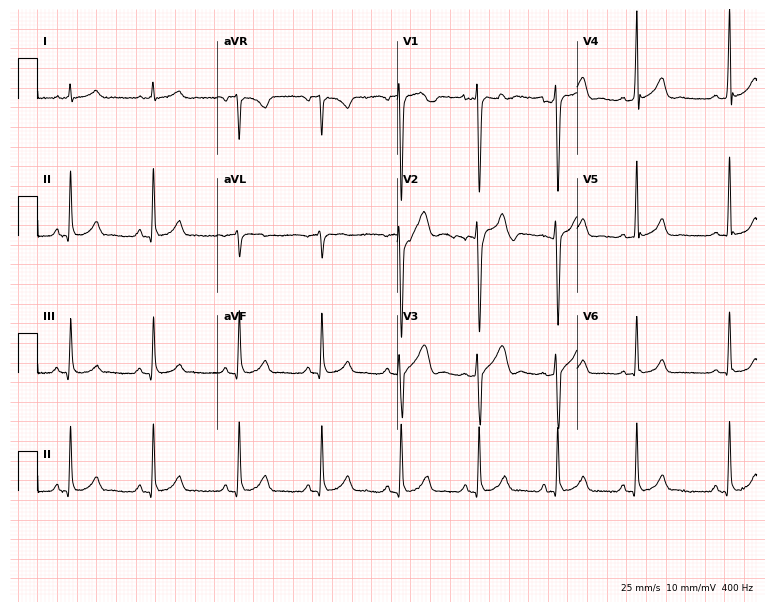
Resting 12-lead electrocardiogram (7.3-second recording at 400 Hz). Patient: a male, 21 years old. None of these six findings is recorded: first-degree AV block, right bundle branch block, left bundle branch block, sinus bradycardia, atrial fibrillation, sinus tachycardia. Findings outside these six are not listed.